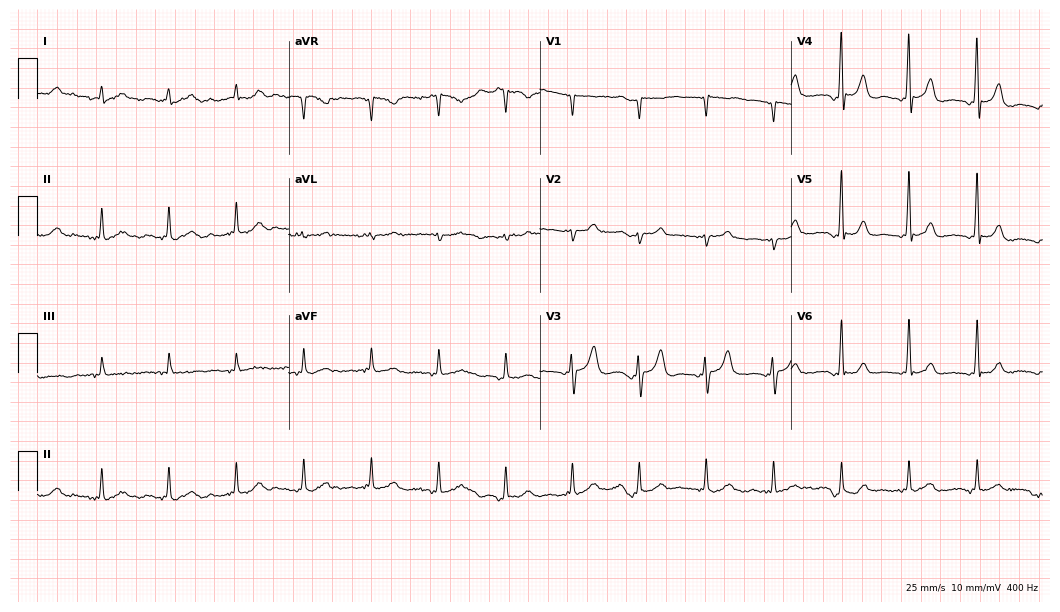
Resting 12-lead electrocardiogram (10.2-second recording at 400 Hz). Patient: a male, 78 years old. None of these six findings is recorded: first-degree AV block, right bundle branch block, left bundle branch block, sinus bradycardia, atrial fibrillation, sinus tachycardia.